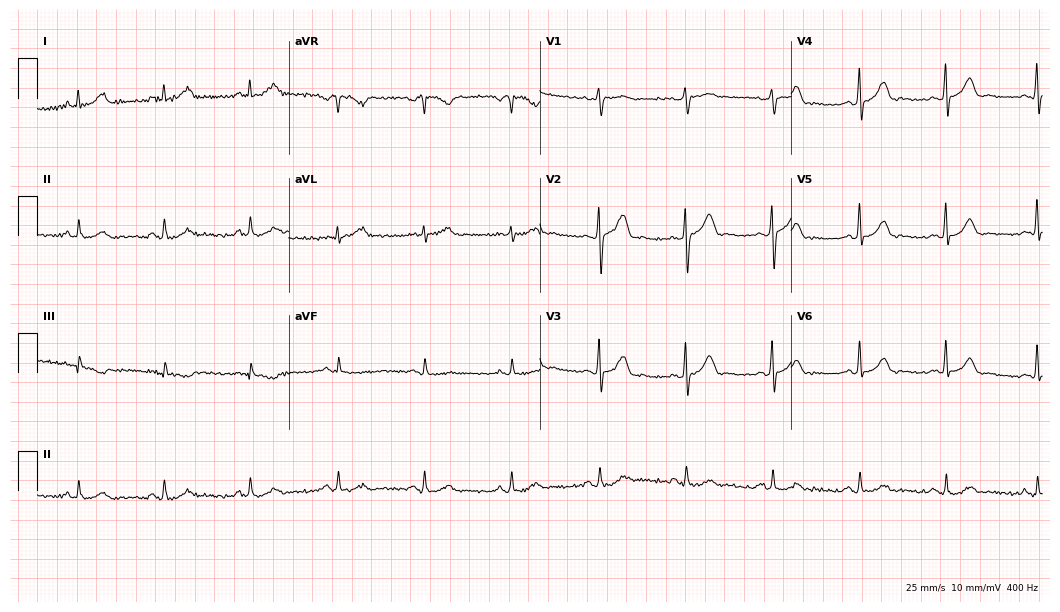
ECG — a man, 44 years old. Labelled as a normal ECG.